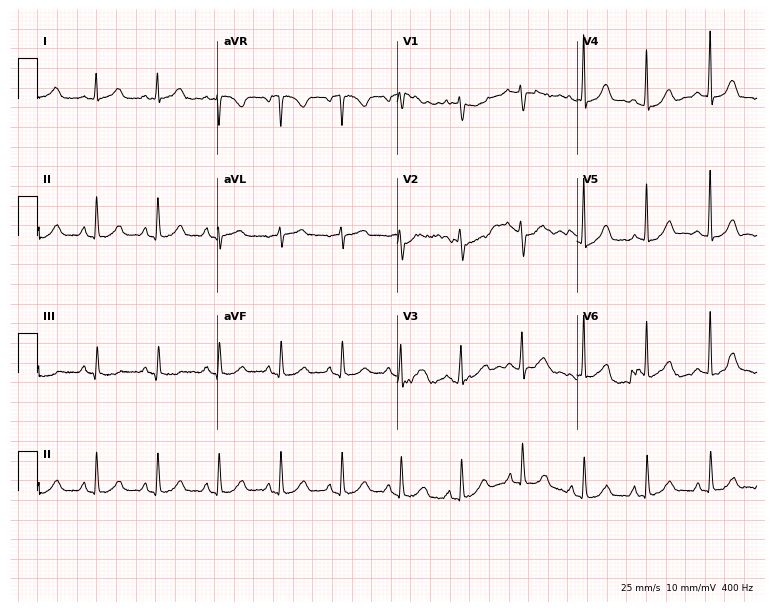
12-lead ECG from a 50-year-old female (7.3-second recording at 400 Hz). Recorded interpretation: within normal limits.